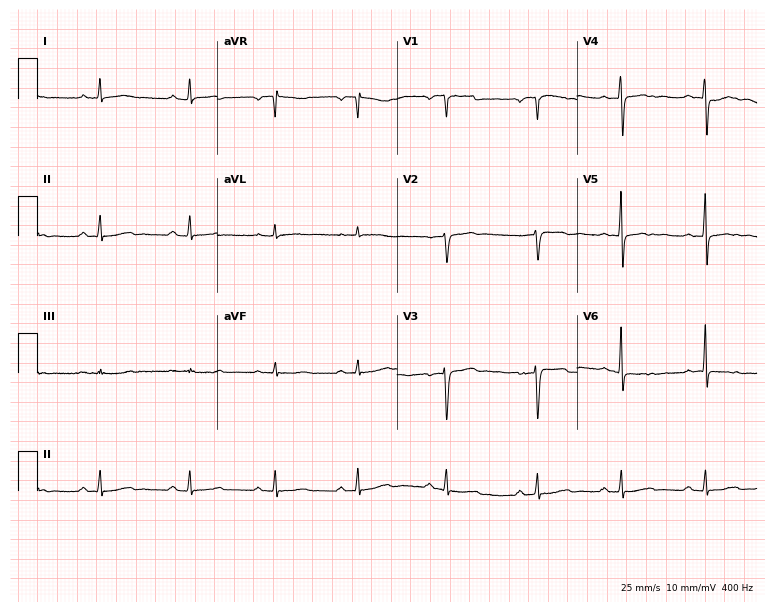
ECG — a female, 42 years old. Screened for six findings — first-degree AV block, right bundle branch block, left bundle branch block, sinus bradycardia, atrial fibrillation, sinus tachycardia — none is recorded. Other findings, if any, are not listed.